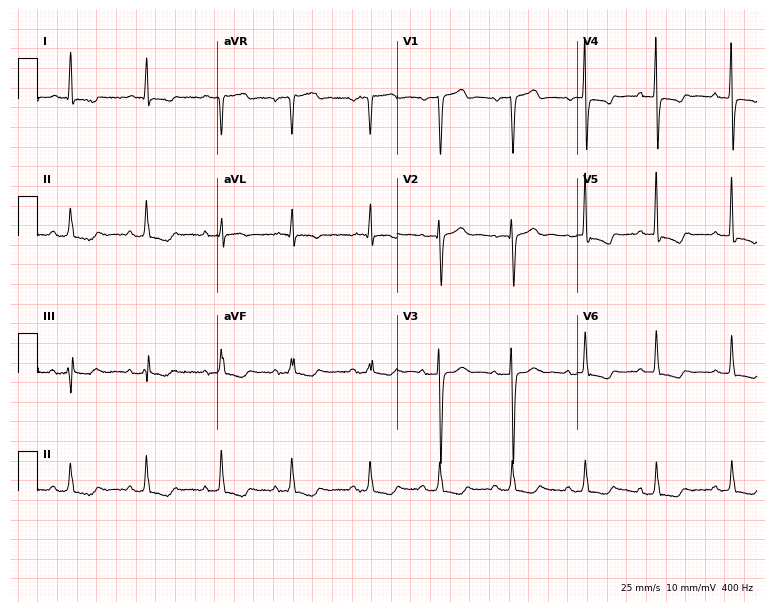
ECG — an 84-year-old man. Screened for six findings — first-degree AV block, right bundle branch block, left bundle branch block, sinus bradycardia, atrial fibrillation, sinus tachycardia — none is recorded.